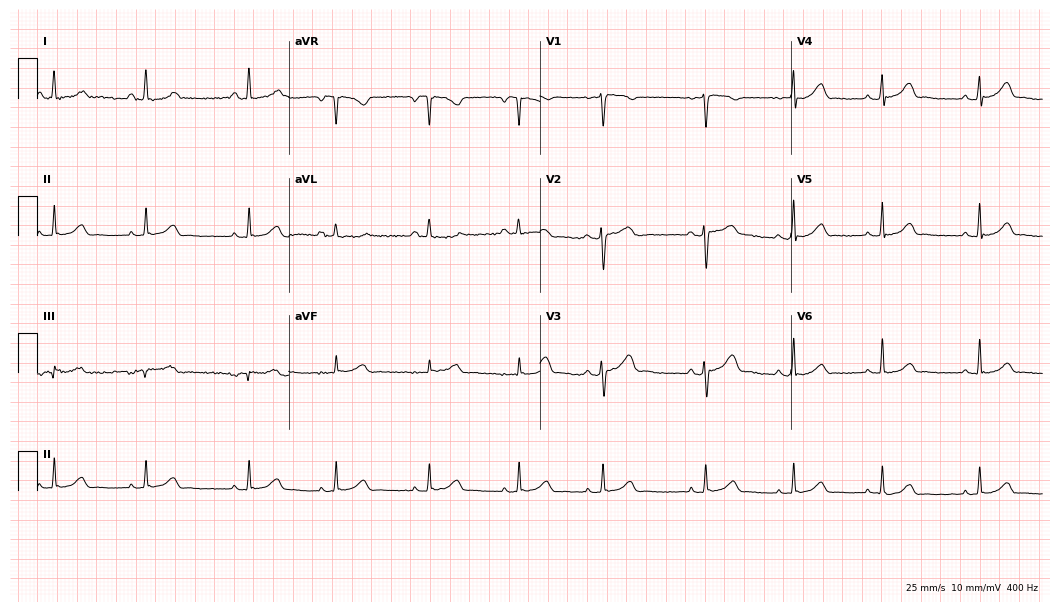
12-lead ECG from a female patient, 32 years old. Recorded interpretation: within normal limits.